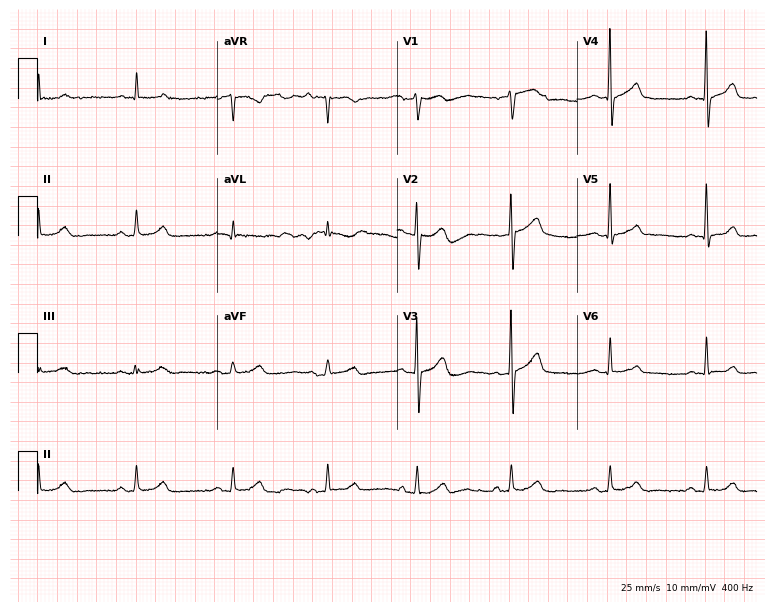
12-lead ECG (7.3-second recording at 400 Hz) from a male patient, 68 years old. Labelled as a normal ECG.